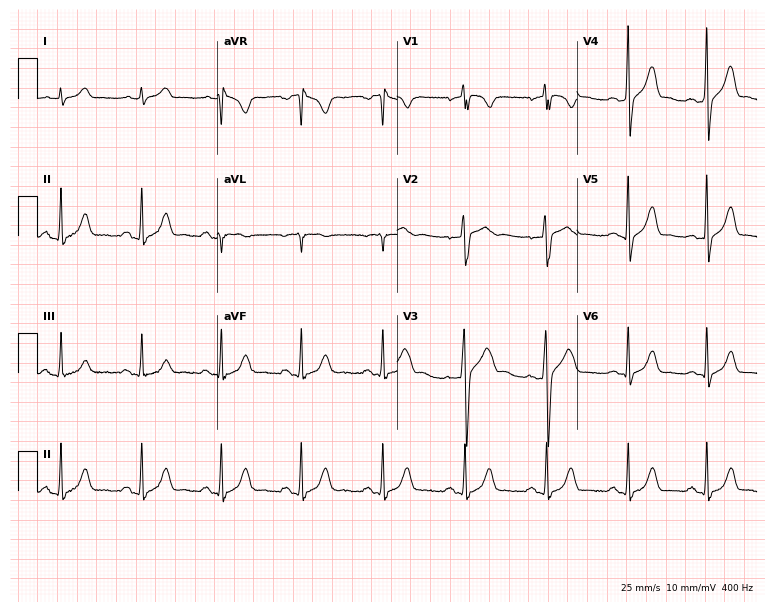
Resting 12-lead electrocardiogram (7.3-second recording at 400 Hz). Patient: a 26-year-old male. Read as a normal ECG.